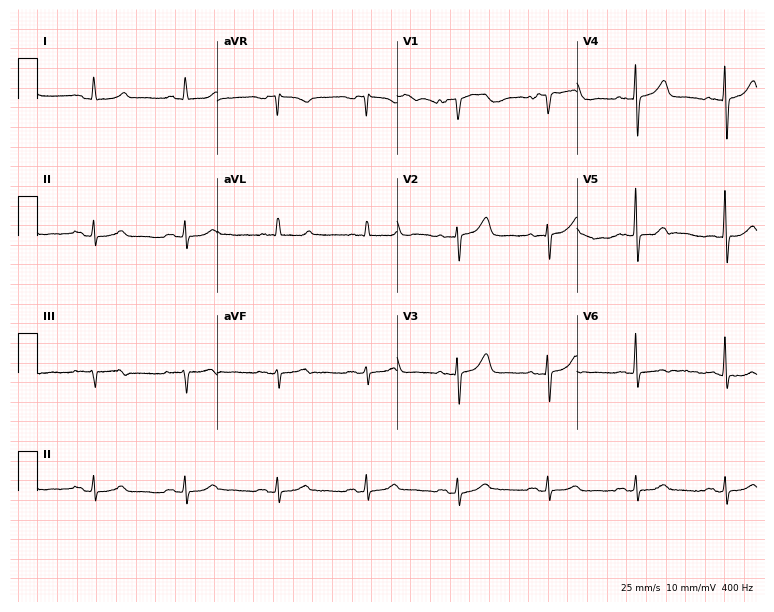
12-lead ECG (7.3-second recording at 400 Hz) from a 67-year-old woman. Screened for six findings — first-degree AV block, right bundle branch block, left bundle branch block, sinus bradycardia, atrial fibrillation, sinus tachycardia — none is recorded. Only these six findings were labelled.